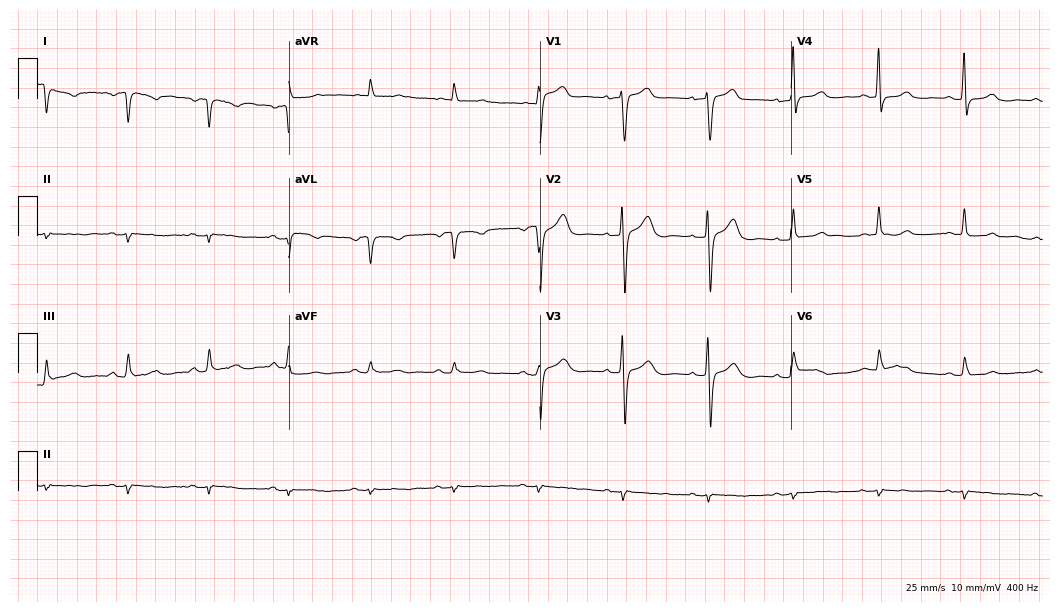
ECG — a female, 71 years old. Screened for six findings — first-degree AV block, right bundle branch block, left bundle branch block, sinus bradycardia, atrial fibrillation, sinus tachycardia — none is recorded. Findings outside these six are not listed.